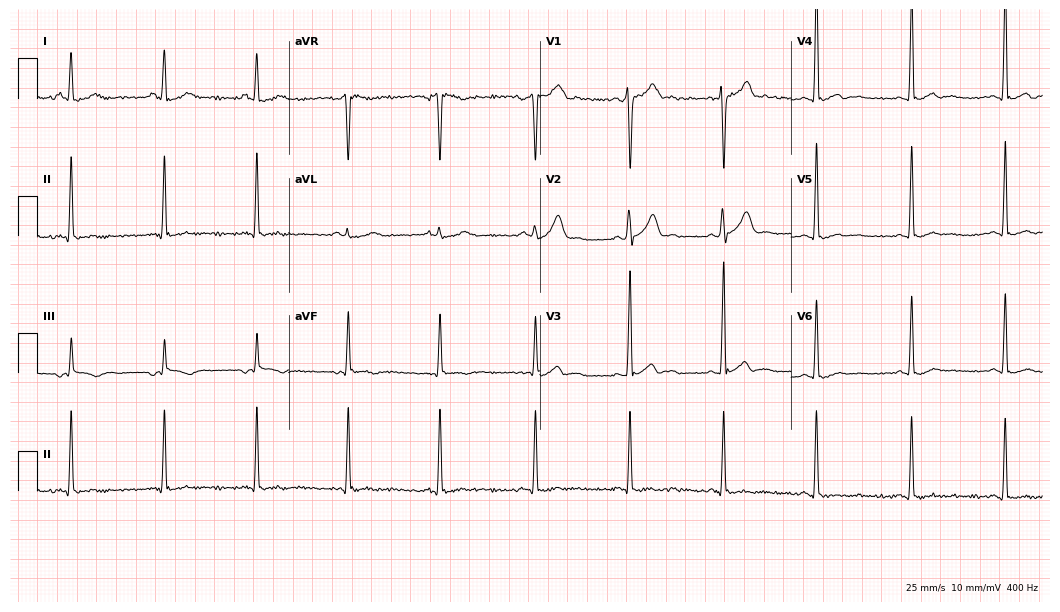
Standard 12-lead ECG recorded from a male patient, 21 years old. None of these six findings is recorded: first-degree AV block, right bundle branch block (RBBB), left bundle branch block (LBBB), sinus bradycardia, atrial fibrillation (AF), sinus tachycardia.